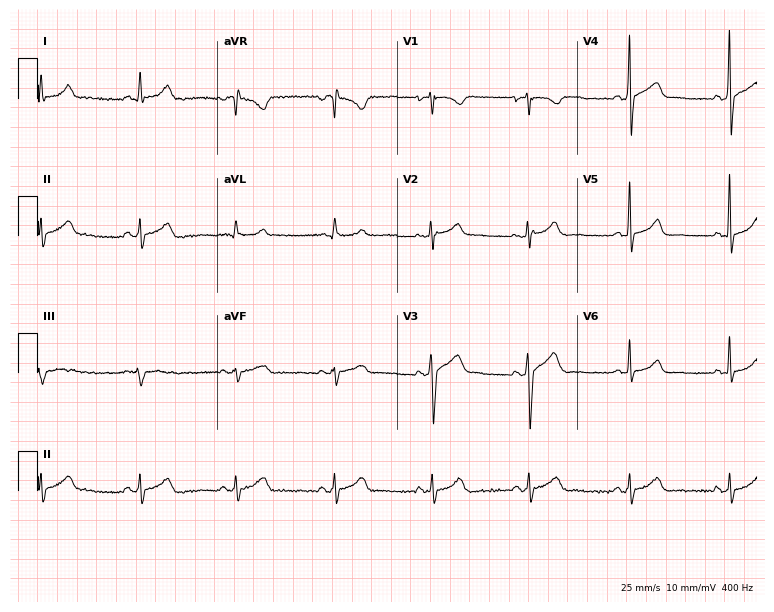
Electrocardiogram (7.3-second recording at 400 Hz), a male, 52 years old. Overall reading on record: normal ECG.